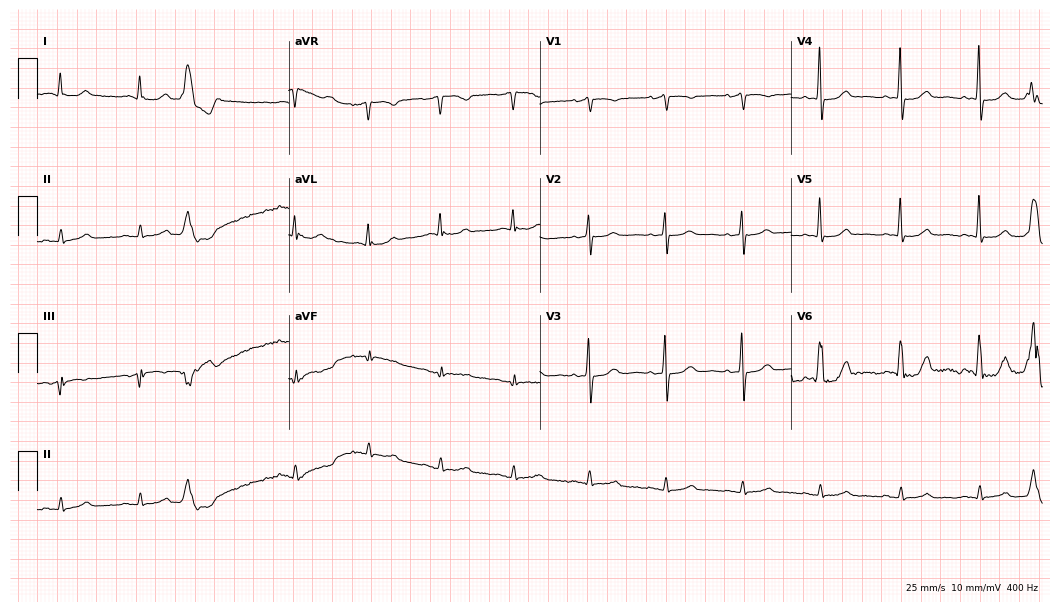
Standard 12-lead ECG recorded from a woman, 68 years old (10.2-second recording at 400 Hz). Read as a normal ECG.